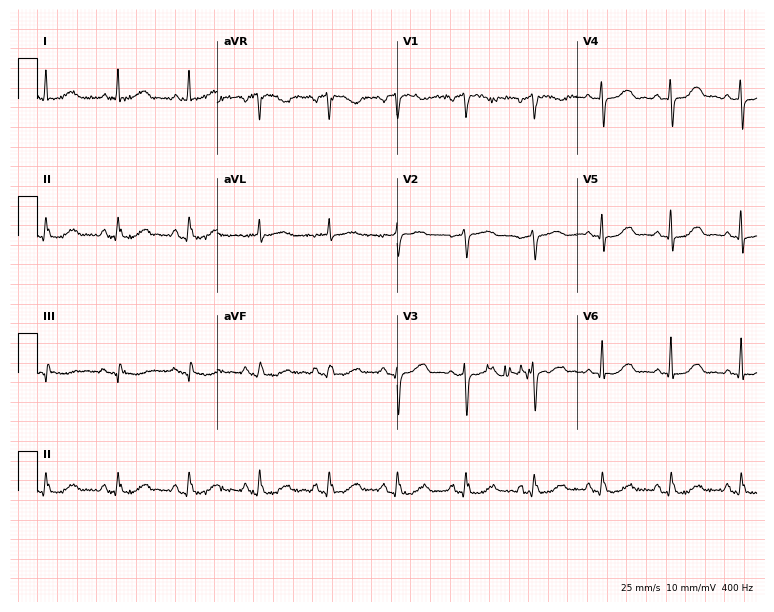
Electrocardiogram, a 71-year-old female patient. Of the six screened findings (first-degree AV block, right bundle branch block (RBBB), left bundle branch block (LBBB), sinus bradycardia, atrial fibrillation (AF), sinus tachycardia), none is recorded. Other findings, if any, are not listed.